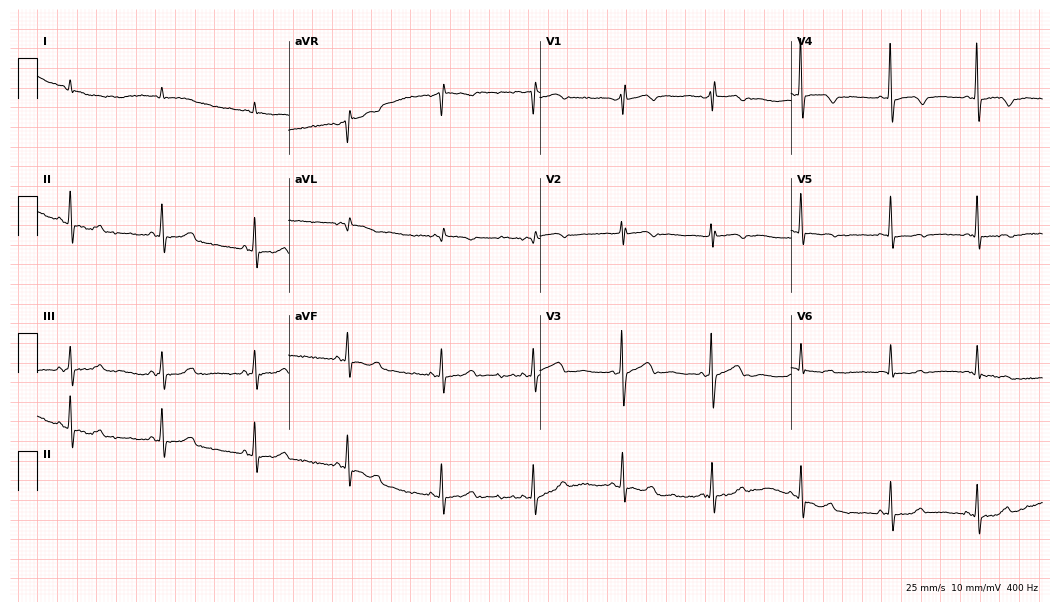
ECG — an 80-year-old female. Screened for six findings — first-degree AV block, right bundle branch block (RBBB), left bundle branch block (LBBB), sinus bradycardia, atrial fibrillation (AF), sinus tachycardia — none is recorded. Other findings, if any, are not listed.